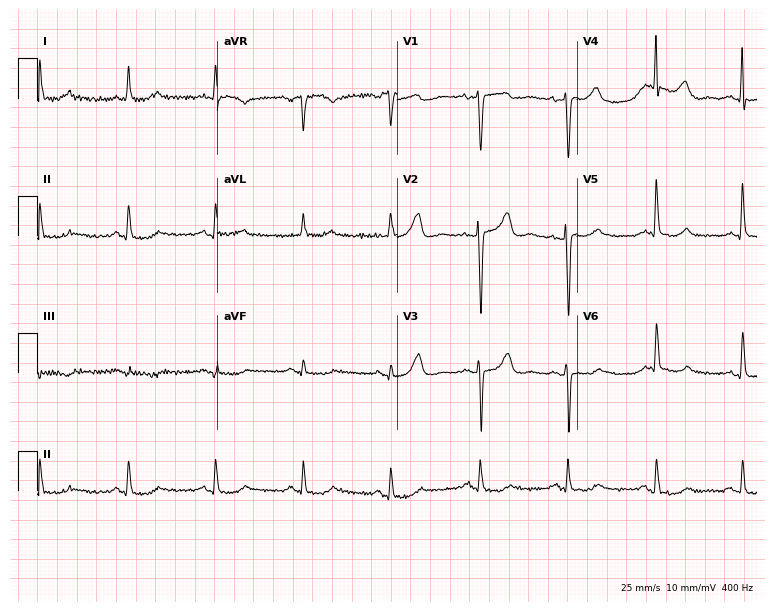
12-lead ECG from a female patient, 78 years old (7.3-second recording at 400 Hz). Recorded interpretation: within normal limits.